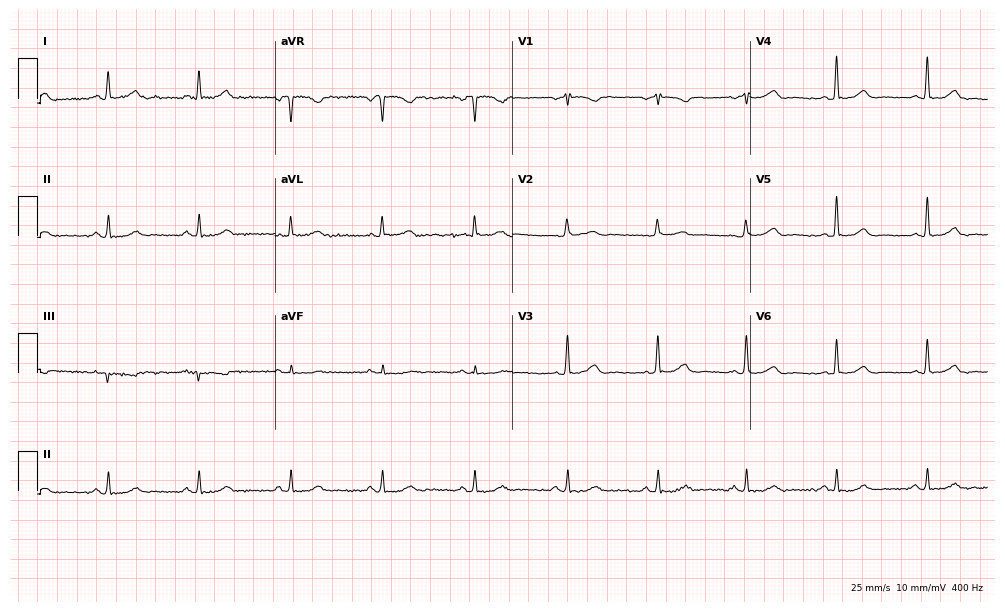
ECG — a 64-year-old female. Screened for six findings — first-degree AV block, right bundle branch block (RBBB), left bundle branch block (LBBB), sinus bradycardia, atrial fibrillation (AF), sinus tachycardia — none is recorded.